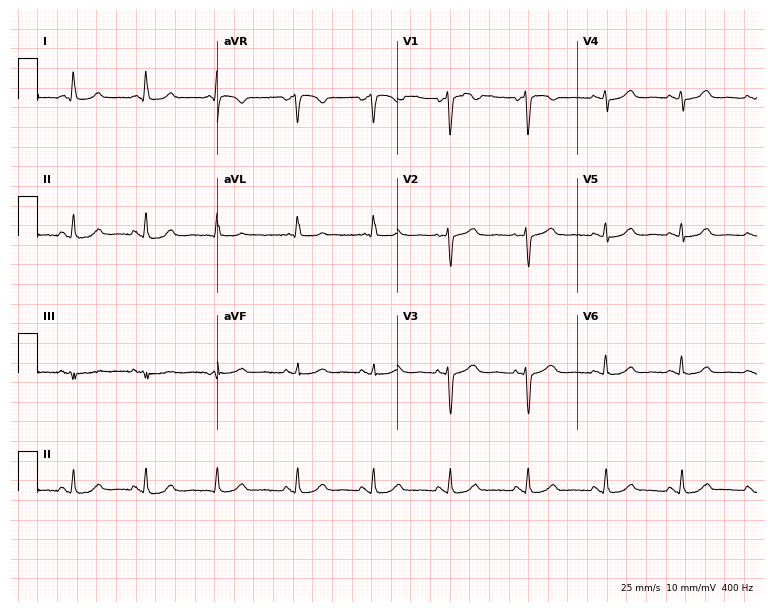
Electrocardiogram (7.3-second recording at 400 Hz), a 57-year-old woman. Of the six screened findings (first-degree AV block, right bundle branch block, left bundle branch block, sinus bradycardia, atrial fibrillation, sinus tachycardia), none is recorded.